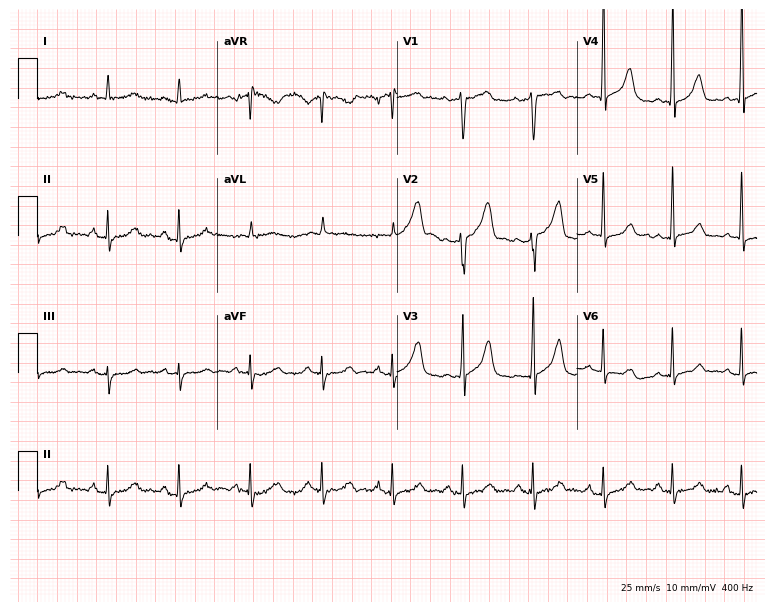
Electrocardiogram, a male, 63 years old. Of the six screened findings (first-degree AV block, right bundle branch block, left bundle branch block, sinus bradycardia, atrial fibrillation, sinus tachycardia), none is recorded.